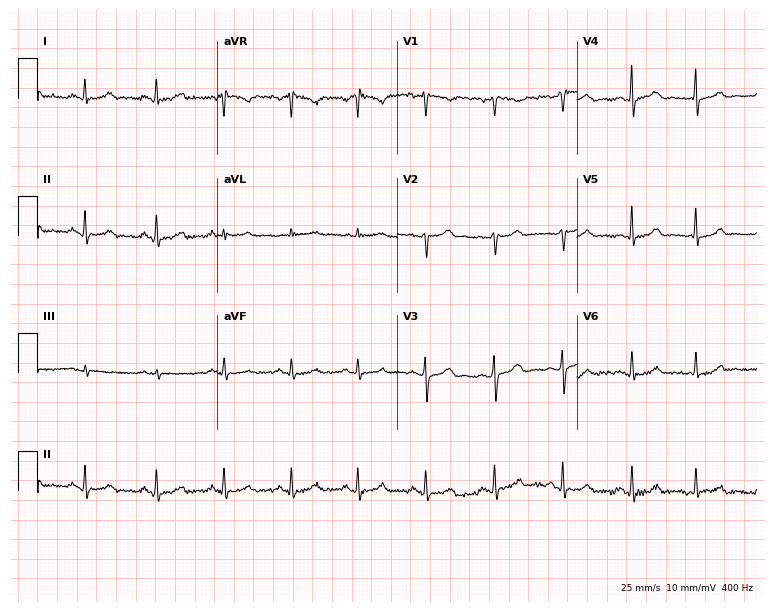
Electrocardiogram (7.3-second recording at 400 Hz), a 47-year-old female. Of the six screened findings (first-degree AV block, right bundle branch block, left bundle branch block, sinus bradycardia, atrial fibrillation, sinus tachycardia), none is recorded. Other findings, if any, are not listed.